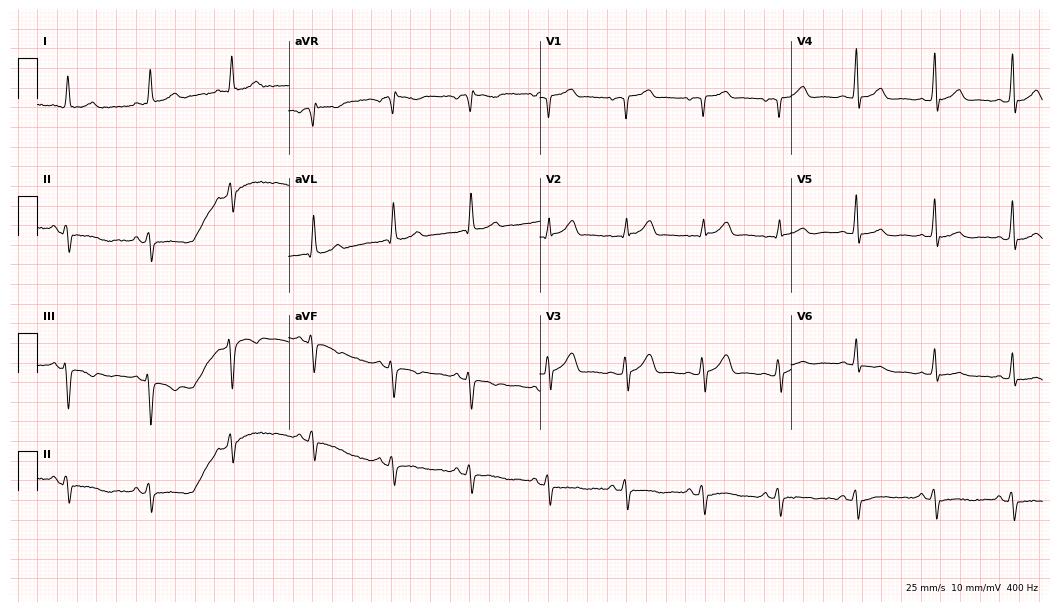
Resting 12-lead electrocardiogram (10.2-second recording at 400 Hz). Patient: a male, 59 years old. None of these six findings is recorded: first-degree AV block, right bundle branch block (RBBB), left bundle branch block (LBBB), sinus bradycardia, atrial fibrillation (AF), sinus tachycardia.